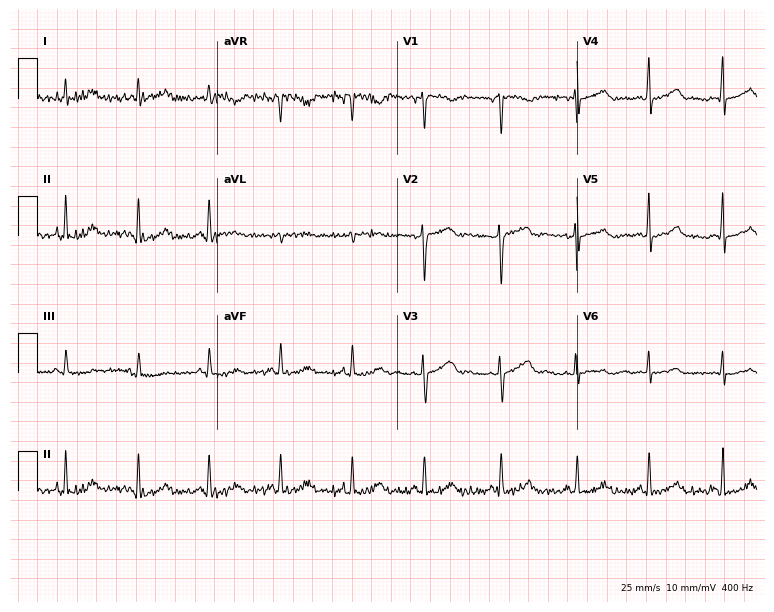
12-lead ECG (7.3-second recording at 400 Hz) from a woman, 35 years old. Labelled as a normal ECG.